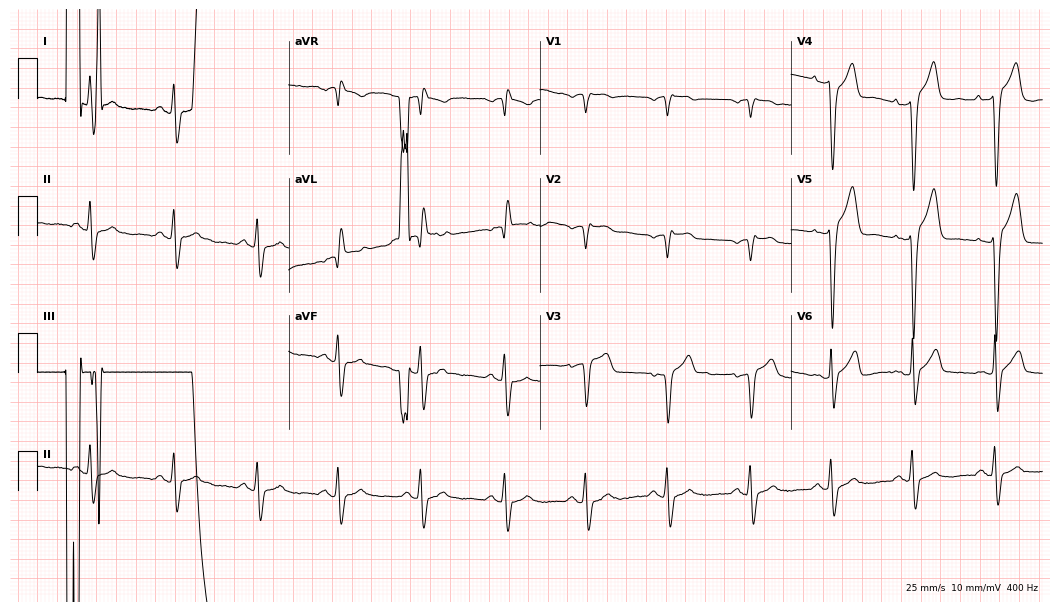
Resting 12-lead electrocardiogram. Patient: a male, 71 years old. None of these six findings is recorded: first-degree AV block, right bundle branch block, left bundle branch block, sinus bradycardia, atrial fibrillation, sinus tachycardia.